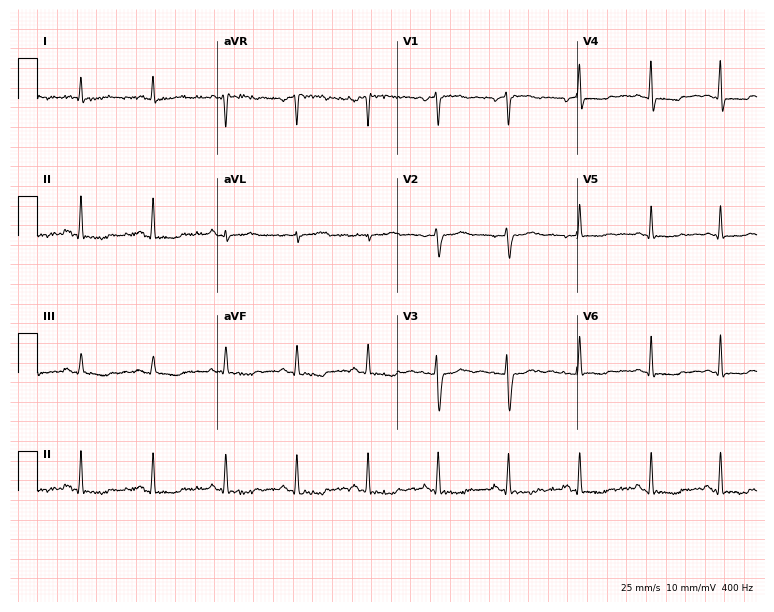
Electrocardiogram (7.3-second recording at 400 Hz), a woman, 46 years old. Of the six screened findings (first-degree AV block, right bundle branch block, left bundle branch block, sinus bradycardia, atrial fibrillation, sinus tachycardia), none is recorded. Findings outside these six are not listed.